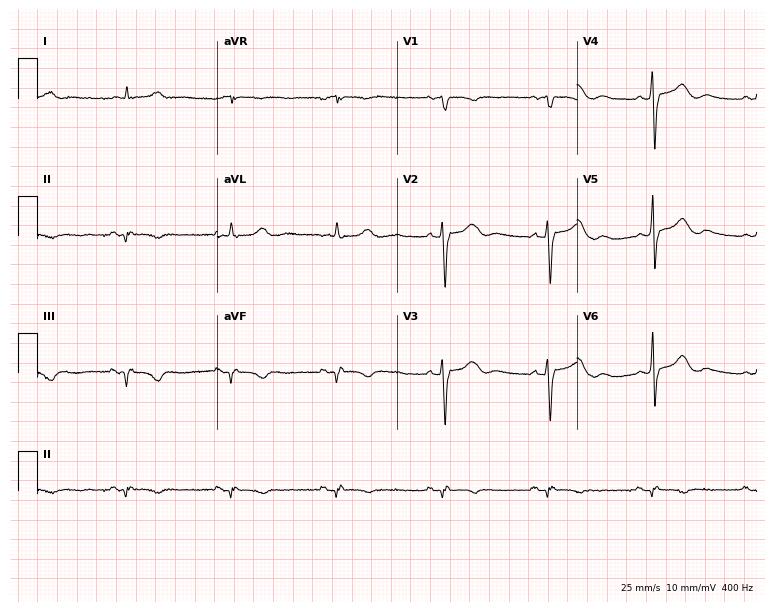
12-lead ECG (7.3-second recording at 400 Hz) from a 76-year-old male patient. Labelled as a normal ECG.